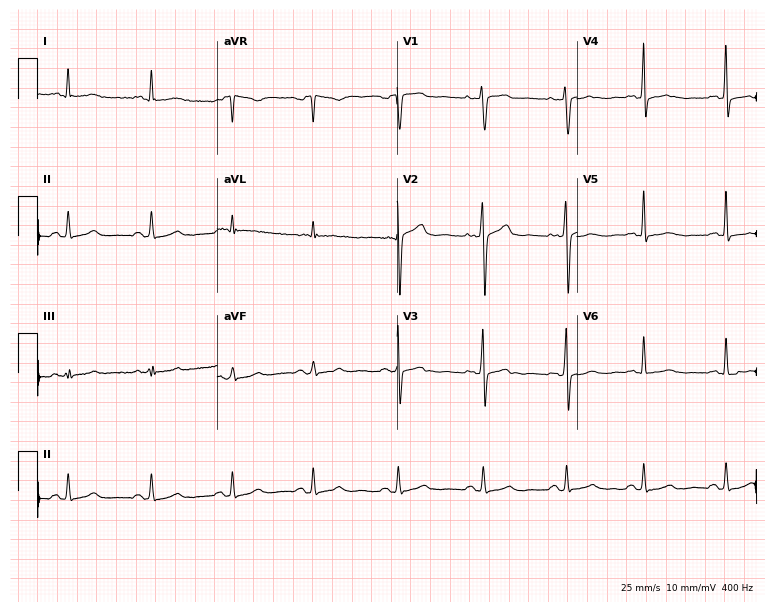
Electrocardiogram (7.3-second recording at 400 Hz), a female, 43 years old. Of the six screened findings (first-degree AV block, right bundle branch block (RBBB), left bundle branch block (LBBB), sinus bradycardia, atrial fibrillation (AF), sinus tachycardia), none is recorded. Findings outside these six are not listed.